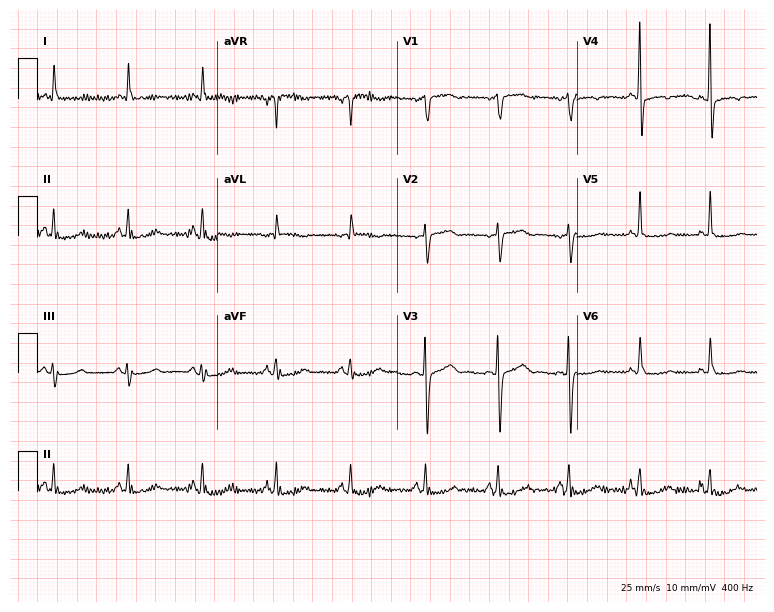
Electrocardiogram, a female, 60 years old. Of the six screened findings (first-degree AV block, right bundle branch block (RBBB), left bundle branch block (LBBB), sinus bradycardia, atrial fibrillation (AF), sinus tachycardia), none is recorded. Findings outside these six are not listed.